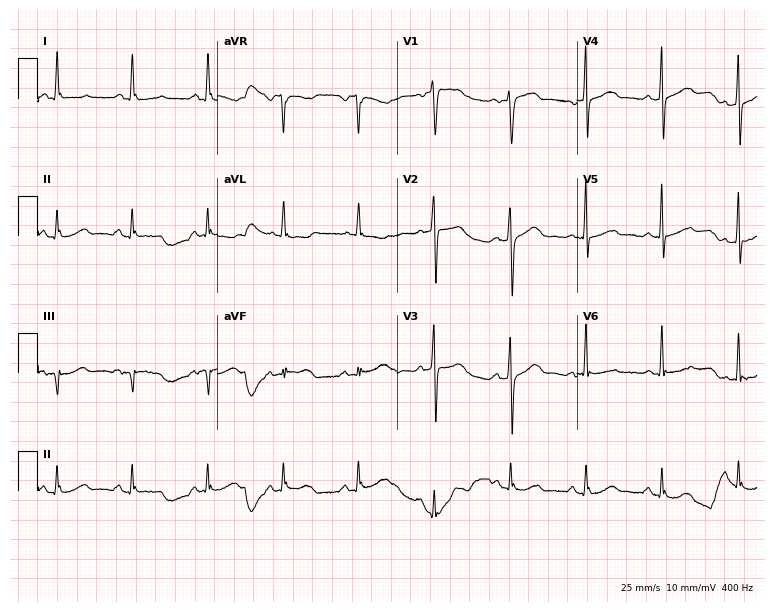
Resting 12-lead electrocardiogram (7.3-second recording at 400 Hz). Patient: a 64-year-old woman. None of these six findings is recorded: first-degree AV block, right bundle branch block (RBBB), left bundle branch block (LBBB), sinus bradycardia, atrial fibrillation (AF), sinus tachycardia. Findings outside these six are not listed.